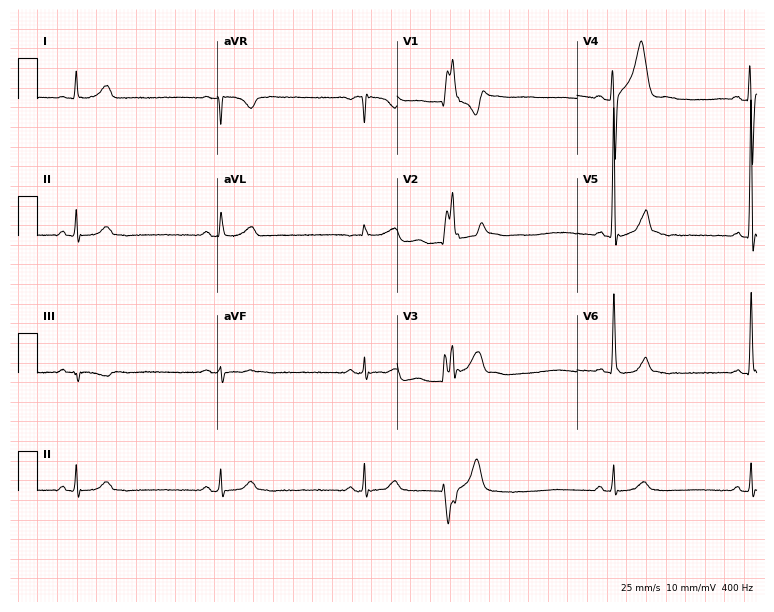
Resting 12-lead electrocardiogram. Patient: a 67-year-old male. The tracing shows sinus bradycardia (a sinus rate of 50 beats per minute or less).